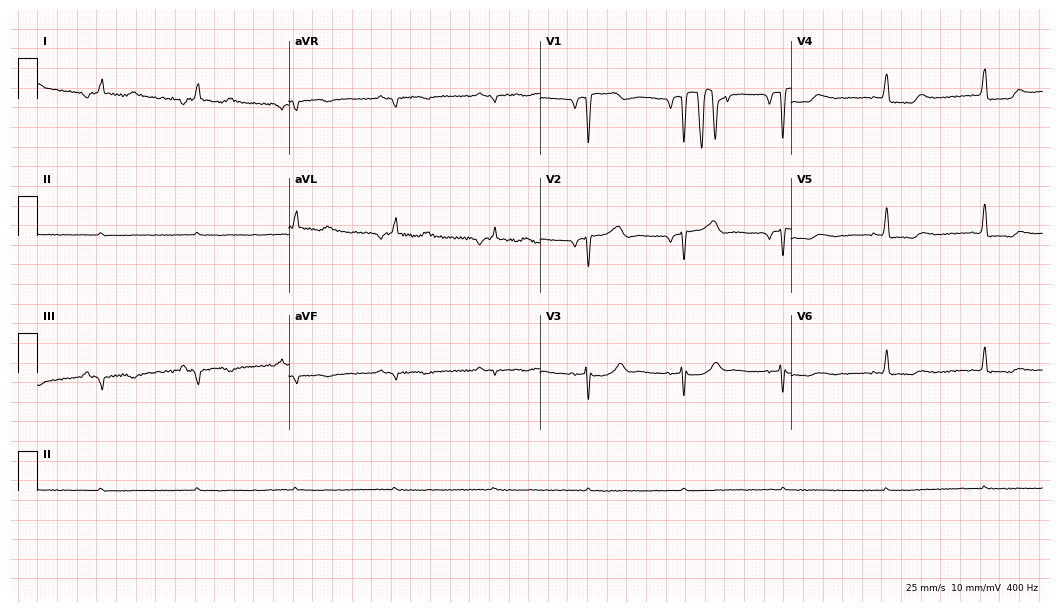
12-lead ECG from a female, 73 years old. Screened for six findings — first-degree AV block, right bundle branch block, left bundle branch block, sinus bradycardia, atrial fibrillation, sinus tachycardia — none is recorded. Findings outside these six are not listed.